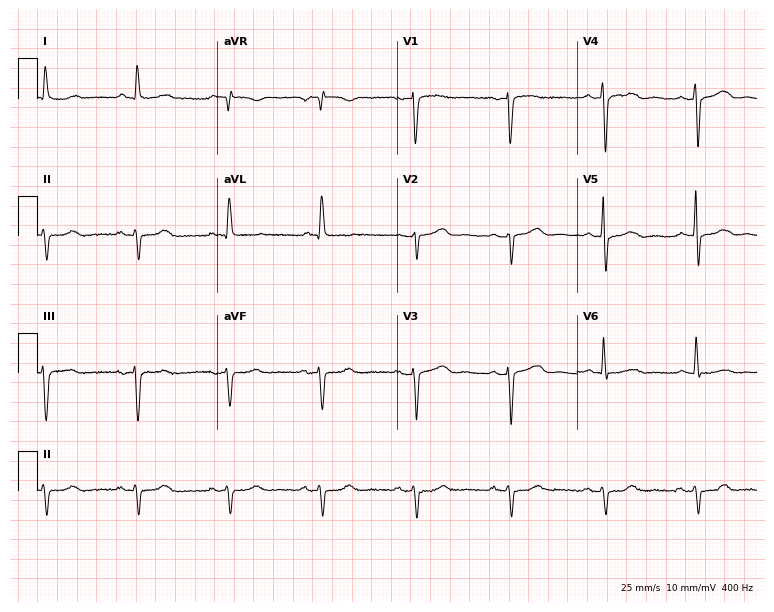
ECG (7.3-second recording at 400 Hz) — a 60-year-old female patient. Screened for six findings — first-degree AV block, right bundle branch block (RBBB), left bundle branch block (LBBB), sinus bradycardia, atrial fibrillation (AF), sinus tachycardia — none is recorded.